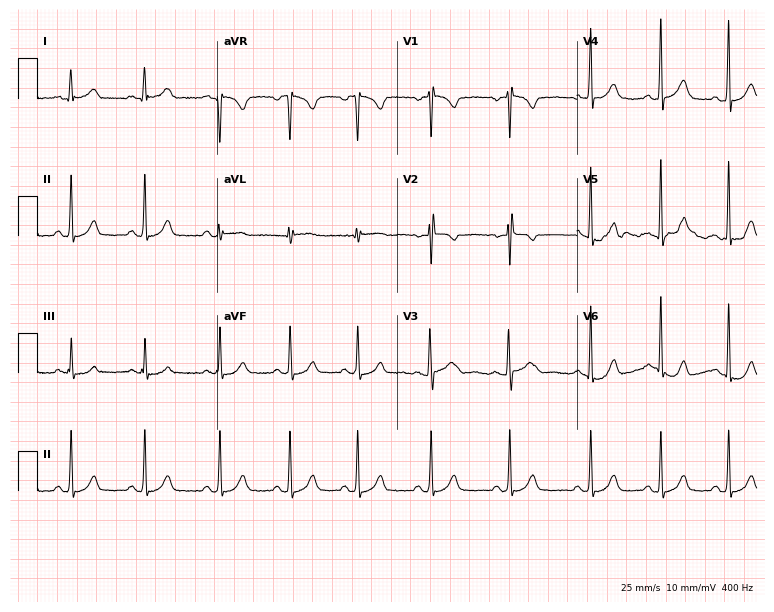
12-lead ECG (7.3-second recording at 400 Hz) from a 20-year-old female patient. Screened for six findings — first-degree AV block, right bundle branch block, left bundle branch block, sinus bradycardia, atrial fibrillation, sinus tachycardia — none is recorded. Findings outside these six are not listed.